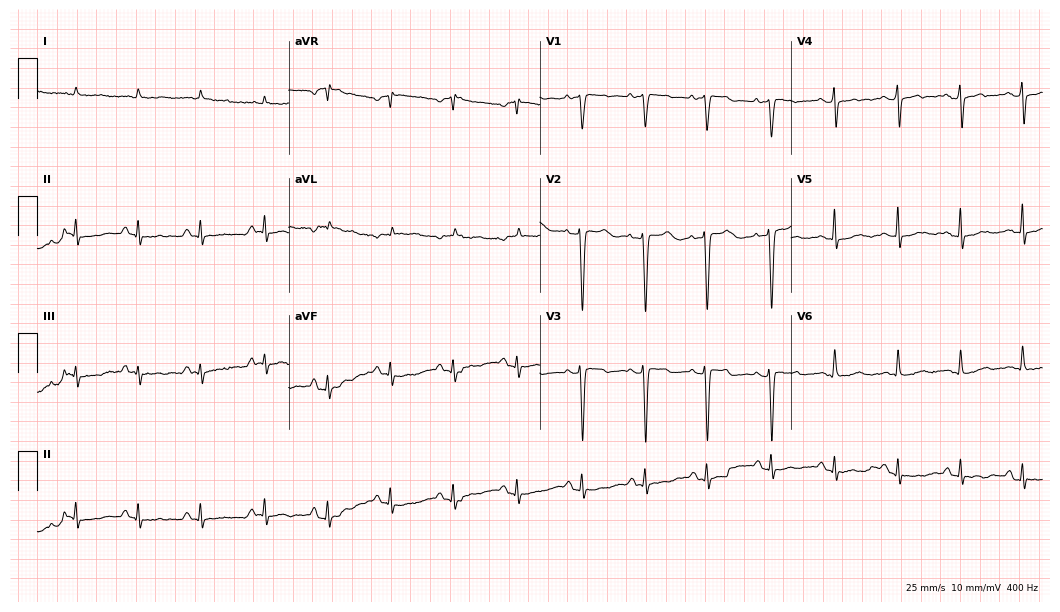
Electrocardiogram (10.2-second recording at 400 Hz), a female, 84 years old. Of the six screened findings (first-degree AV block, right bundle branch block, left bundle branch block, sinus bradycardia, atrial fibrillation, sinus tachycardia), none is recorded.